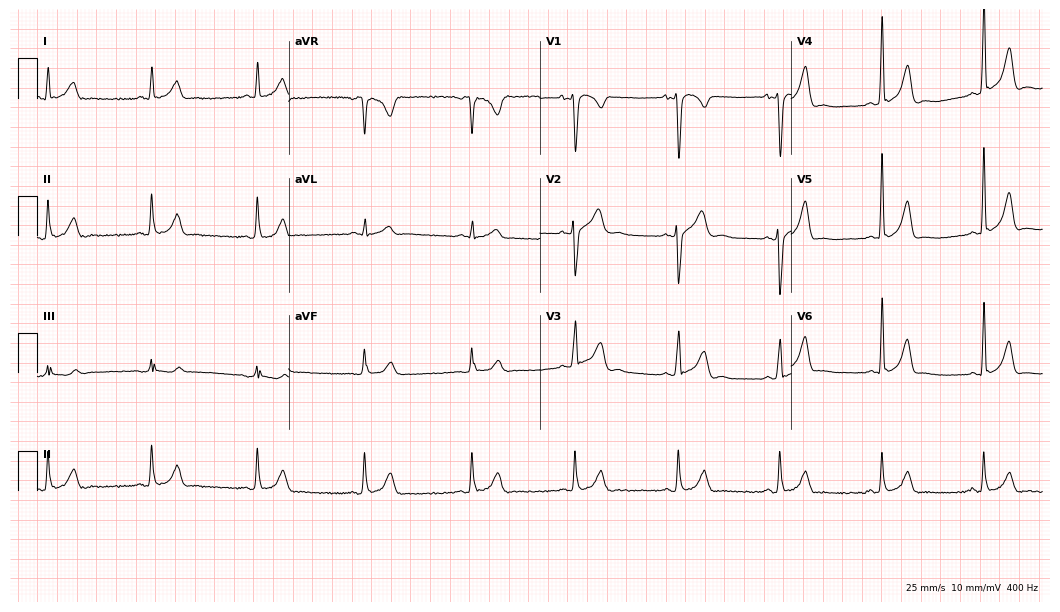
12-lead ECG from a male, 55 years old (10.2-second recording at 400 Hz). Recorded interpretation: within normal limits.